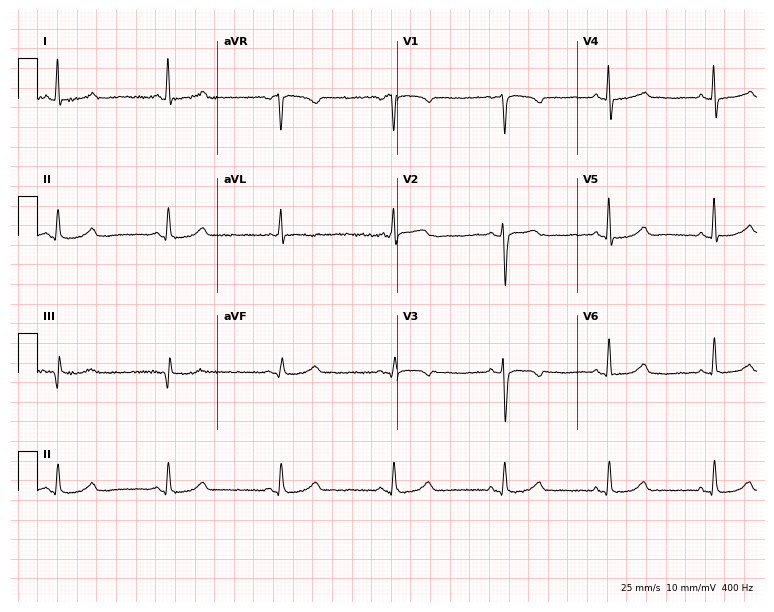
Resting 12-lead electrocardiogram. Patient: a 49-year-old female. Read as a normal ECG.